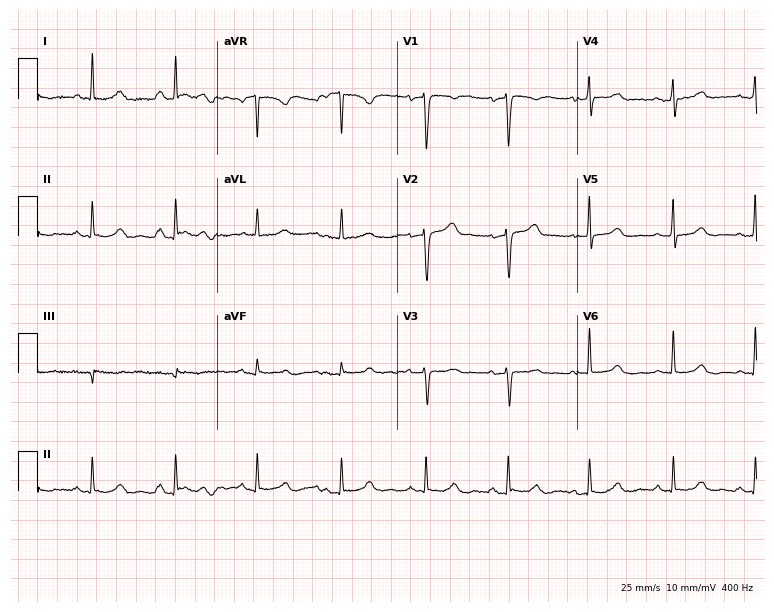
Electrocardiogram, a 72-year-old female patient. Of the six screened findings (first-degree AV block, right bundle branch block, left bundle branch block, sinus bradycardia, atrial fibrillation, sinus tachycardia), none is recorded.